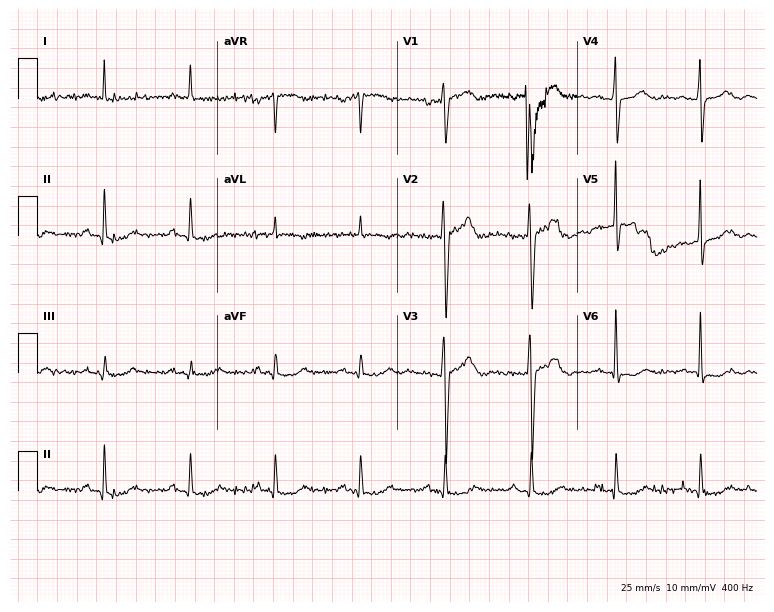
12-lead ECG (7.3-second recording at 400 Hz) from a 76-year-old male. Screened for six findings — first-degree AV block, right bundle branch block, left bundle branch block, sinus bradycardia, atrial fibrillation, sinus tachycardia — none is recorded. Other findings, if any, are not listed.